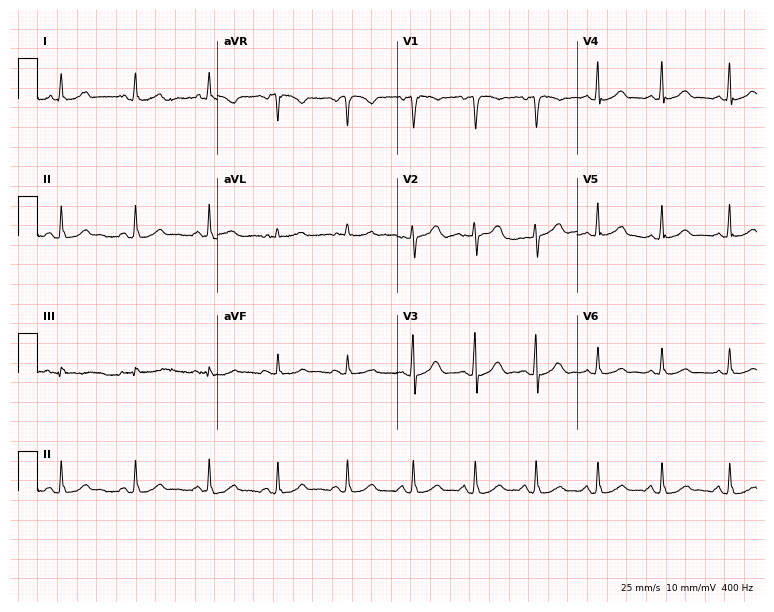
Electrocardiogram, a 50-year-old woman. Overall reading on record: normal ECG.